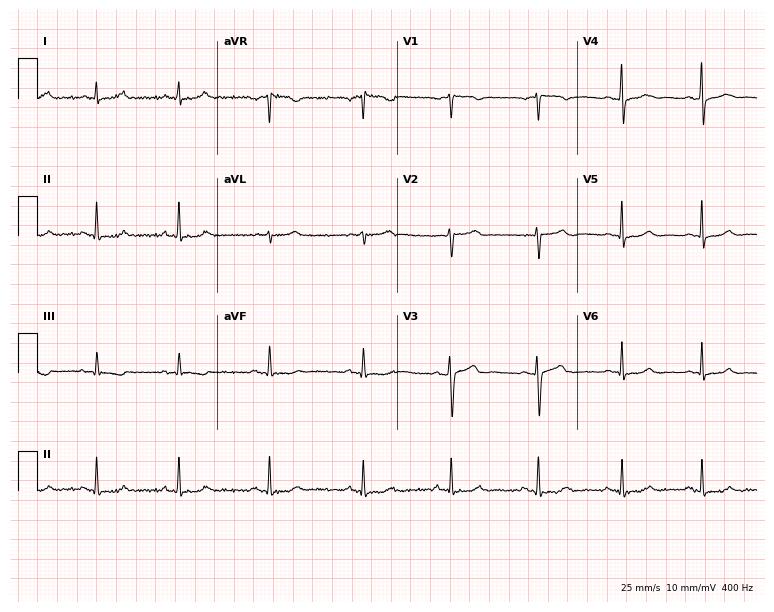
Resting 12-lead electrocardiogram (7.3-second recording at 400 Hz). Patient: a female, 42 years old. Read as a normal ECG.